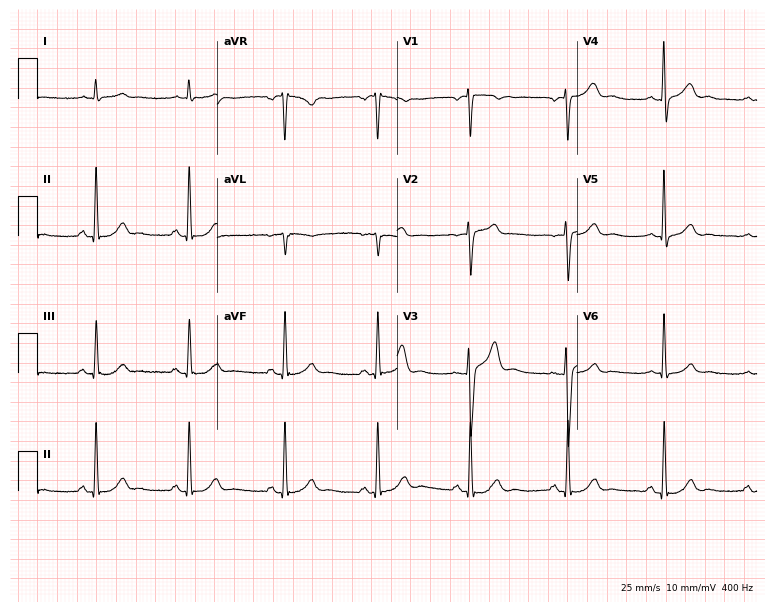
12-lead ECG (7.3-second recording at 400 Hz) from a 61-year-old man. Labelled as a normal ECG.